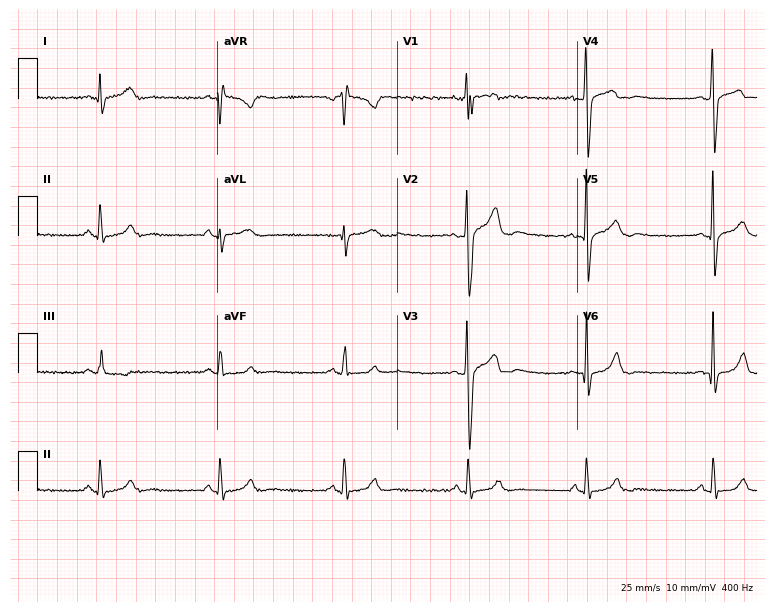
12-lead ECG from a 23-year-old man. Shows sinus bradycardia (a sinus rate of 50 beats per minute or less).